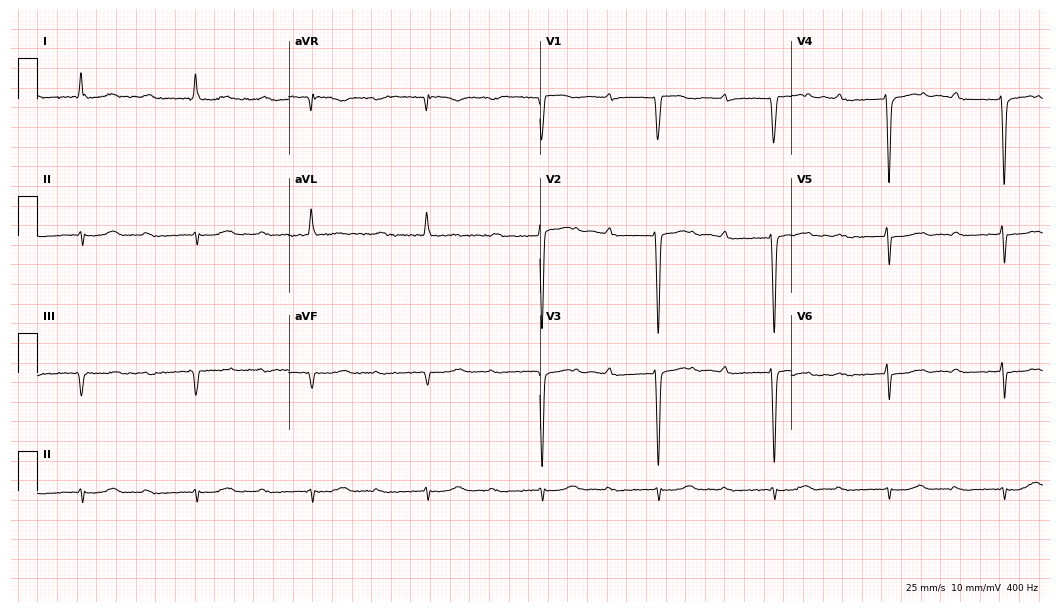
12-lead ECG from an 82-year-old male. Shows first-degree AV block.